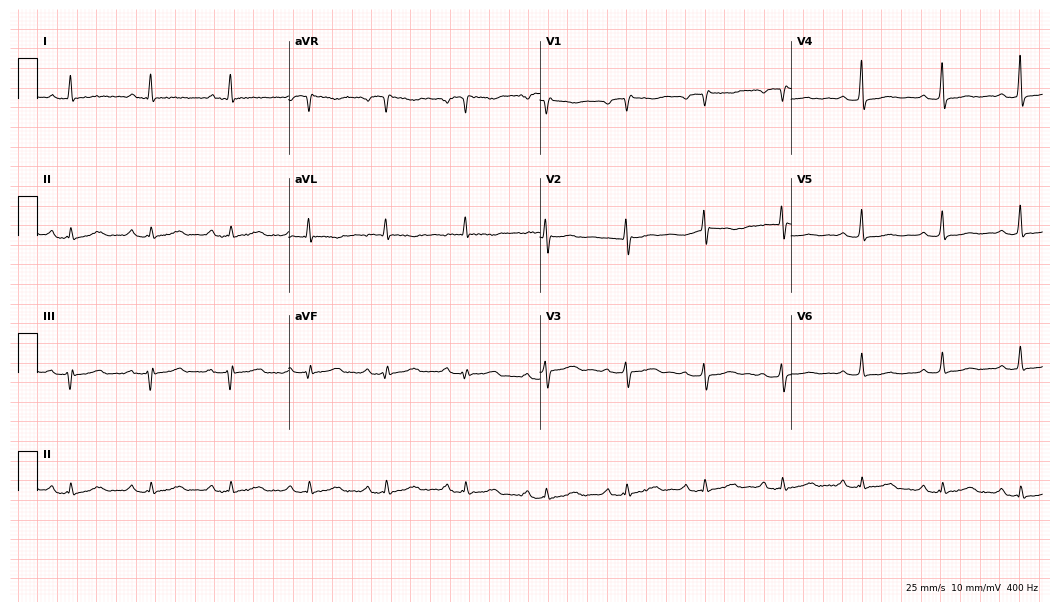
12-lead ECG from a 54-year-old female patient. Labelled as a normal ECG.